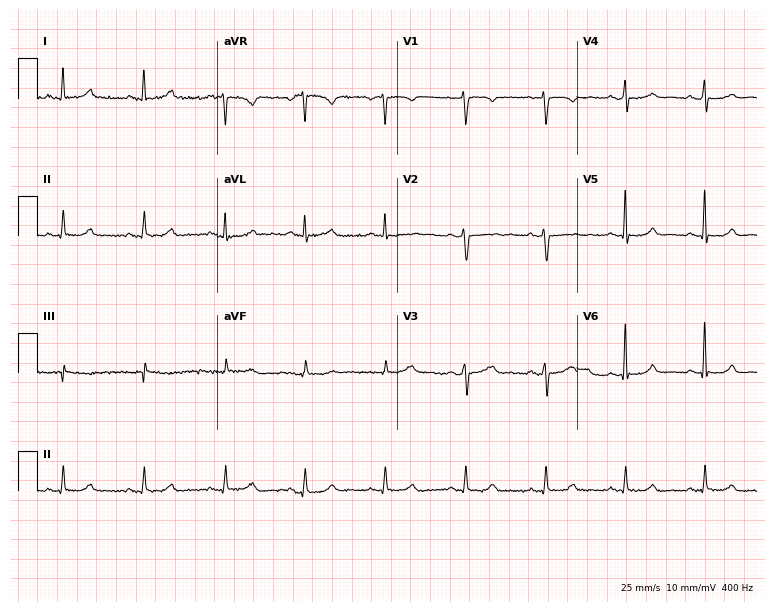
Standard 12-lead ECG recorded from a 48-year-old female patient (7.3-second recording at 400 Hz). Read as a normal ECG.